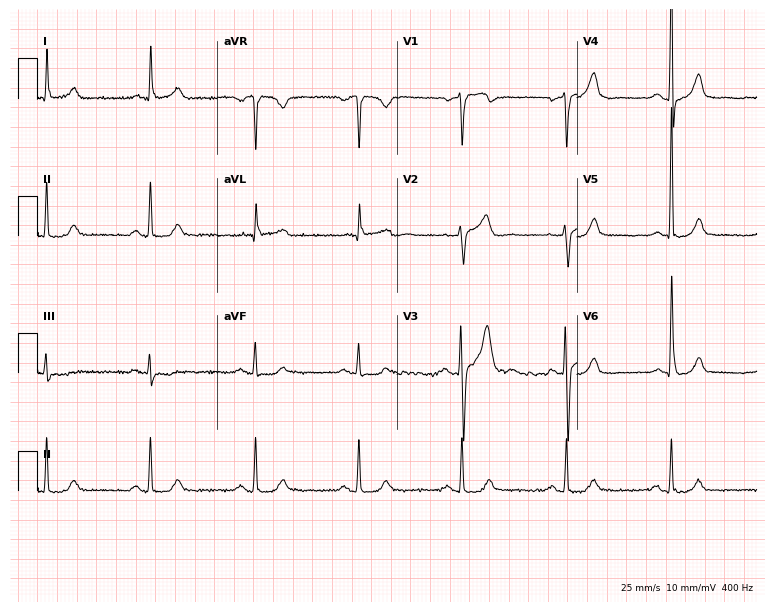
Electrocardiogram (7.3-second recording at 400 Hz), a male, 68 years old. Overall reading on record: normal ECG.